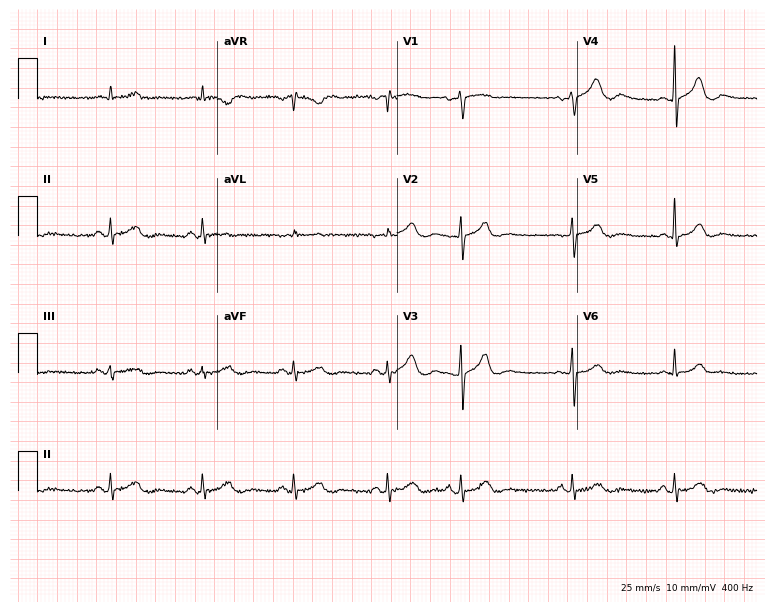
Electrocardiogram (7.3-second recording at 400 Hz), a female patient, 73 years old. Overall reading on record: normal ECG.